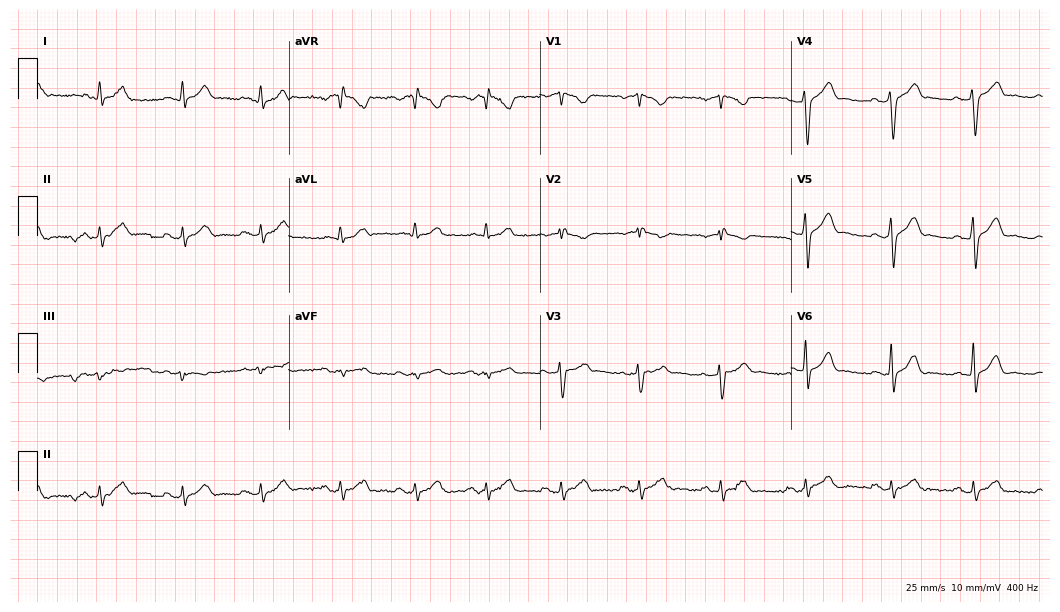
12-lead ECG from a male, 43 years old. Screened for six findings — first-degree AV block, right bundle branch block (RBBB), left bundle branch block (LBBB), sinus bradycardia, atrial fibrillation (AF), sinus tachycardia — none is recorded. Only these six findings were labelled.